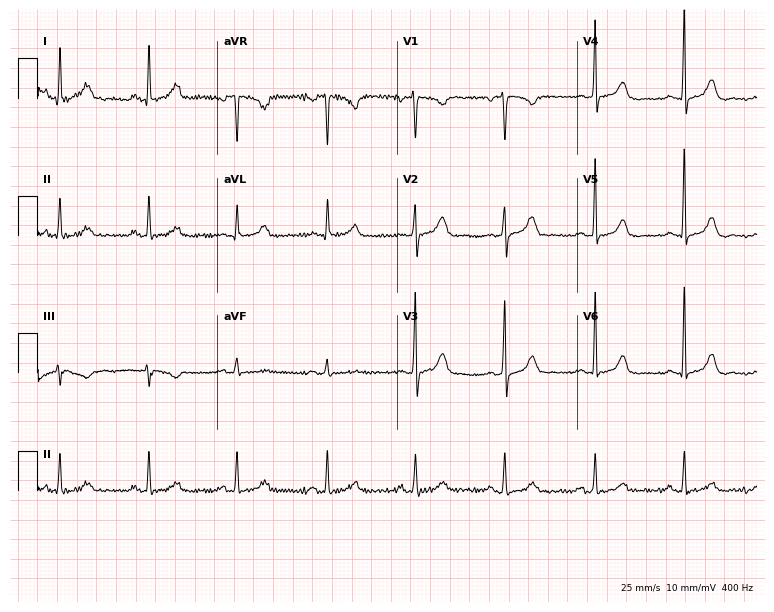
12-lead ECG from a female patient, 37 years old. No first-degree AV block, right bundle branch block, left bundle branch block, sinus bradycardia, atrial fibrillation or sinus tachycardia recorded for this tracing. Only these six findings were labelled.